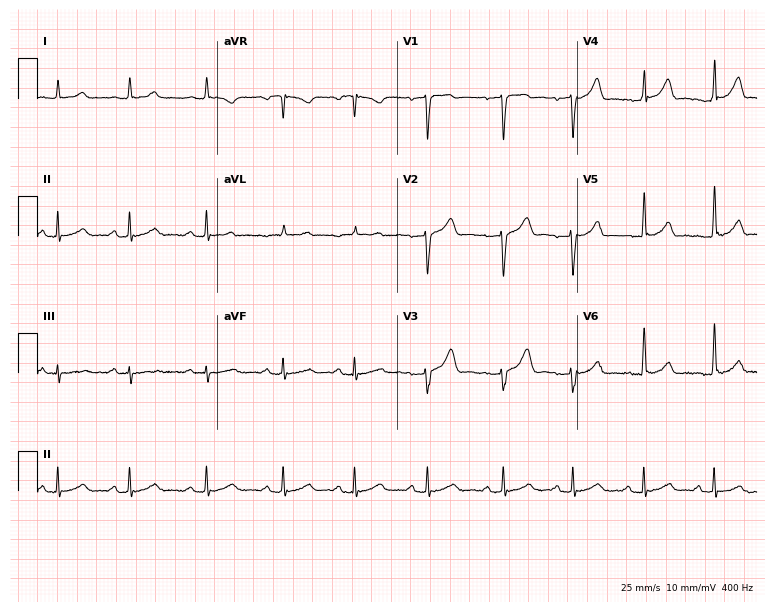
ECG (7.3-second recording at 400 Hz) — a man, 33 years old. Labelled as a normal ECG.